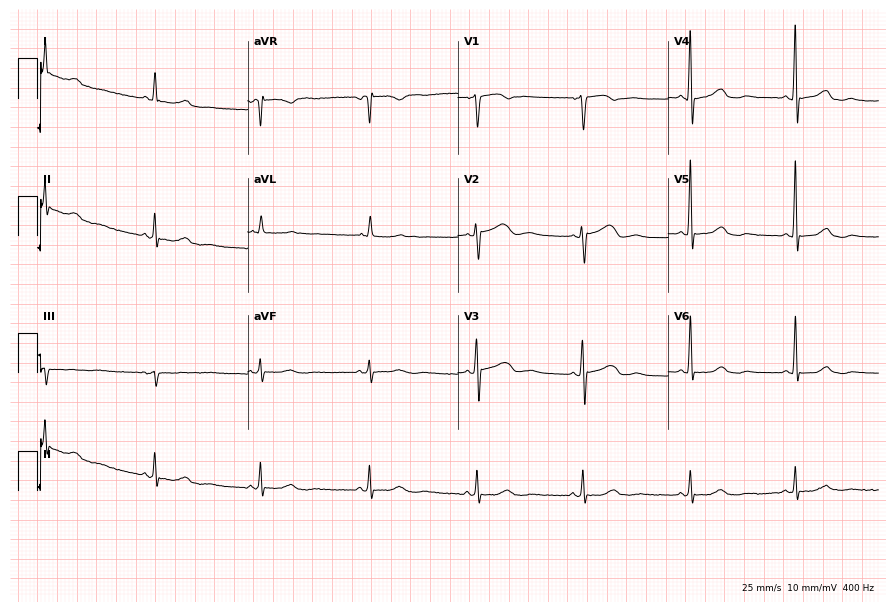
Resting 12-lead electrocardiogram. Patient: a 64-year-old female. None of these six findings is recorded: first-degree AV block, right bundle branch block, left bundle branch block, sinus bradycardia, atrial fibrillation, sinus tachycardia. Other findings, if any, are not listed.